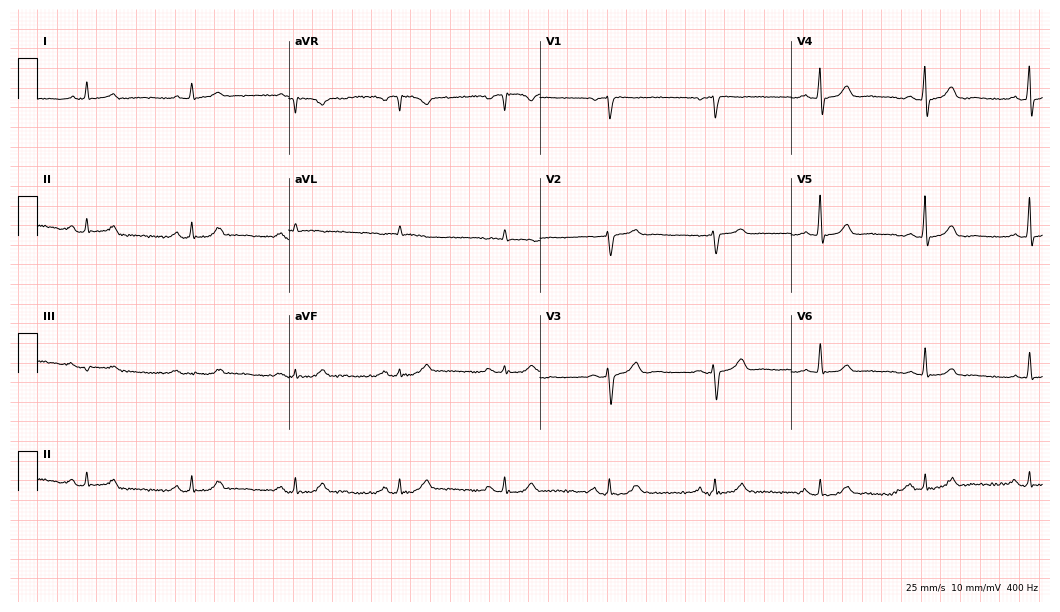
ECG (10.2-second recording at 400 Hz) — a male, 69 years old. Screened for six findings — first-degree AV block, right bundle branch block, left bundle branch block, sinus bradycardia, atrial fibrillation, sinus tachycardia — none is recorded. Other findings, if any, are not listed.